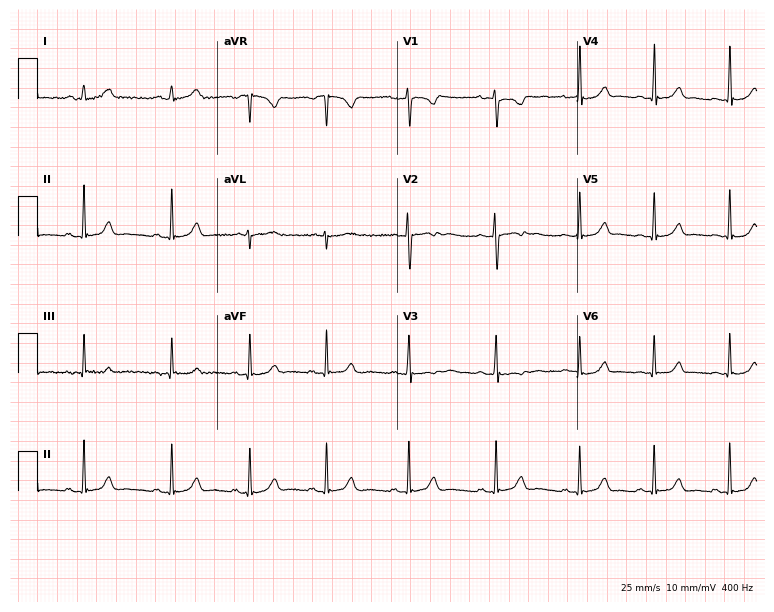
ECG (7.3-second recording at 400 Hz) — a 22-year-old female. Labelled as a normal ECG.